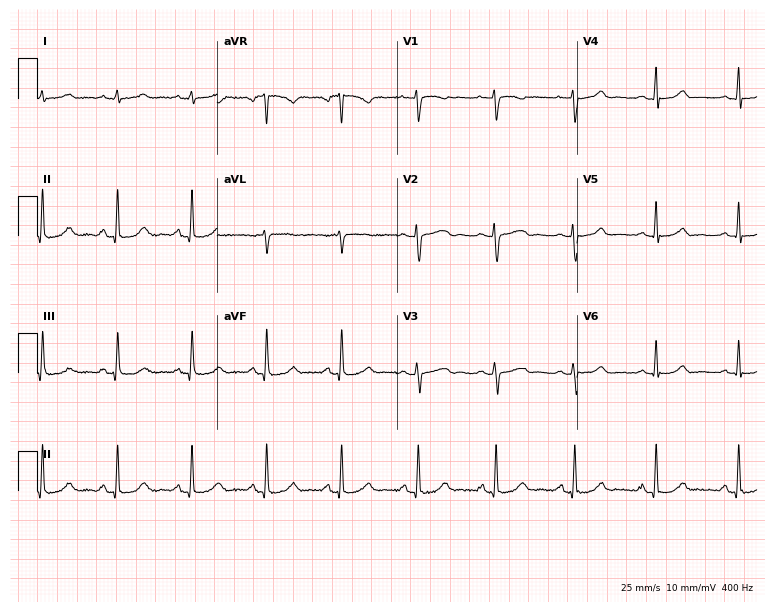
ECG — a female patient, 37 years old. Labelled as a normal ECG.